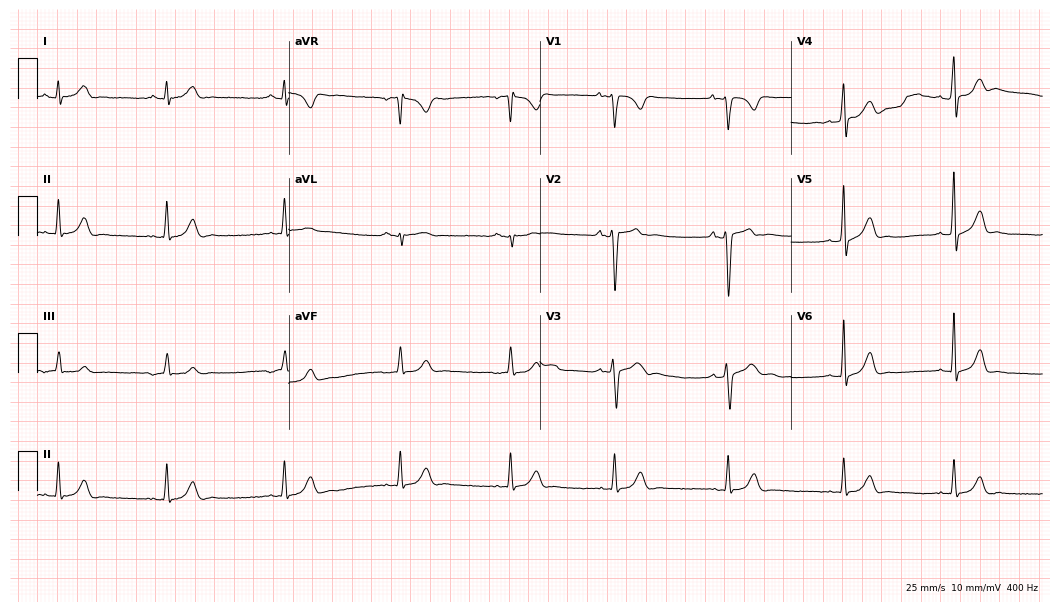
12-lead ECG from a male, 23 years old (10.2-second recording at 400 Hz). Recorded interpretation: within normal limits.